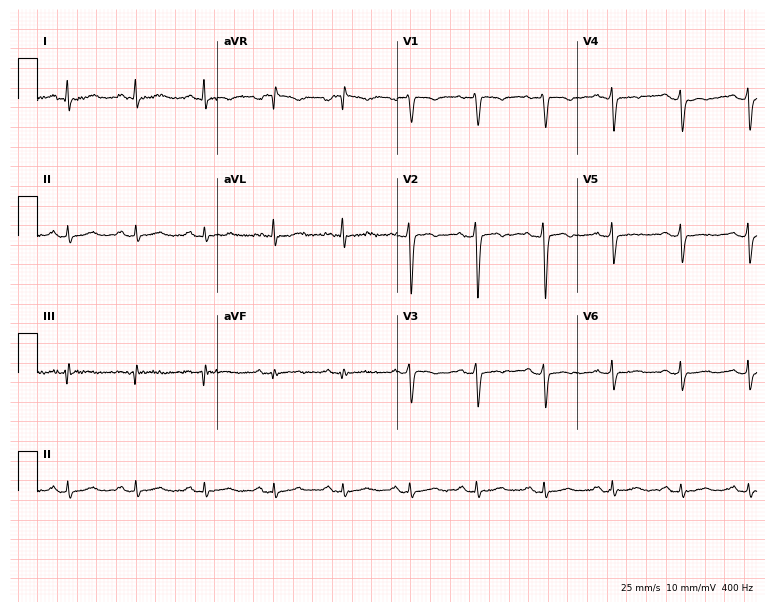
Electrocardiogram, a woman, 37 years old. Of the six screened findings (first-degree AV block, right bundle branch block (RBBB), left bundle branch block (LBBB), sinus bradycardia, atrial fibrillation (AF), sinus tachycardia), none is recorded. Only these six findings were labelled.